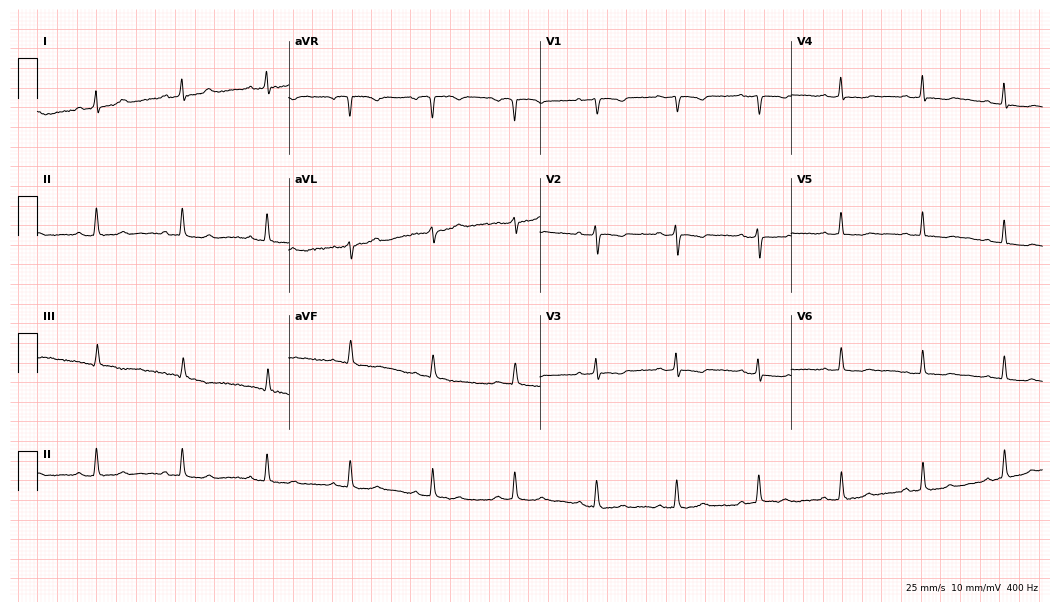
ECG — a 50-year-old female. Screened for six findings — first-degree AV block, right bundle branch block (RBBB), left bundle branch block (LBBB), sinus bradycardia, atrial fibrillation (AF), sinus tachycardia — none is recorded.